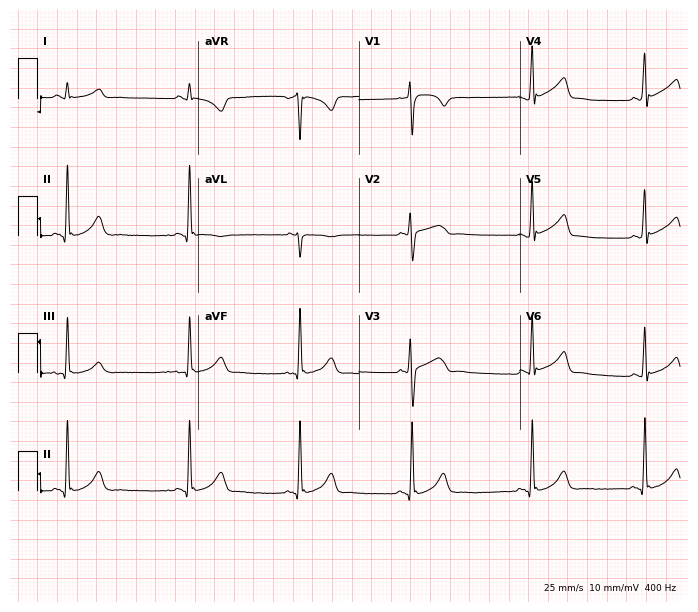
ECG (6.6-second recording at 400 Hz) — a 51-year-old male patient. Labelled as a normal ECG.